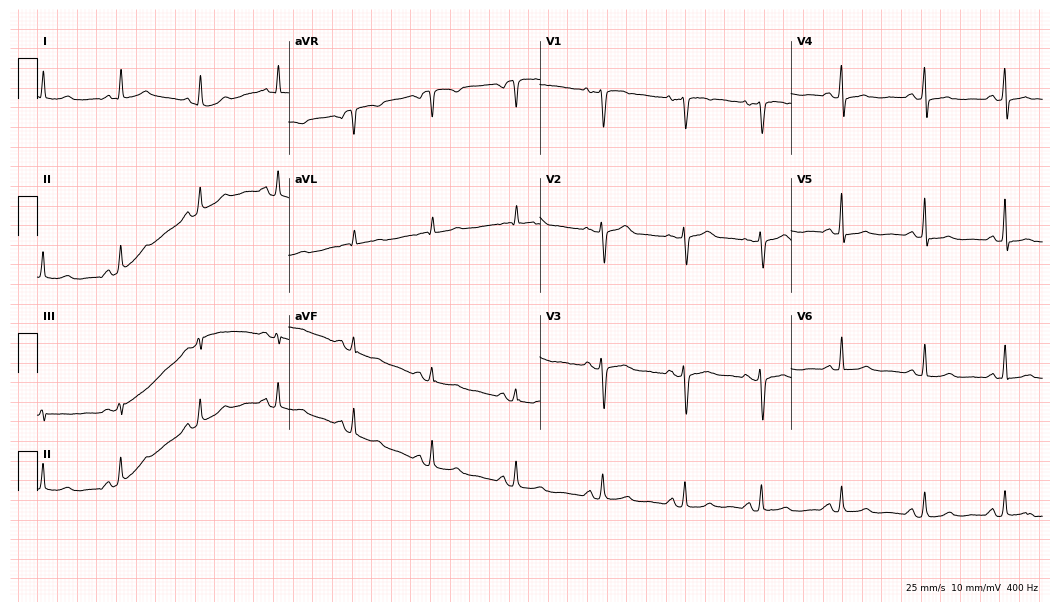
Standard 12-lead ECG recorded from a 49-year-old female. None of these six findings is recorded: first-degree AV block, right bundle branch block, left bundle branch block, sinus bradycardia, atrial fibrillation, sinus tachycardia. Other findings, if any, are not listed.